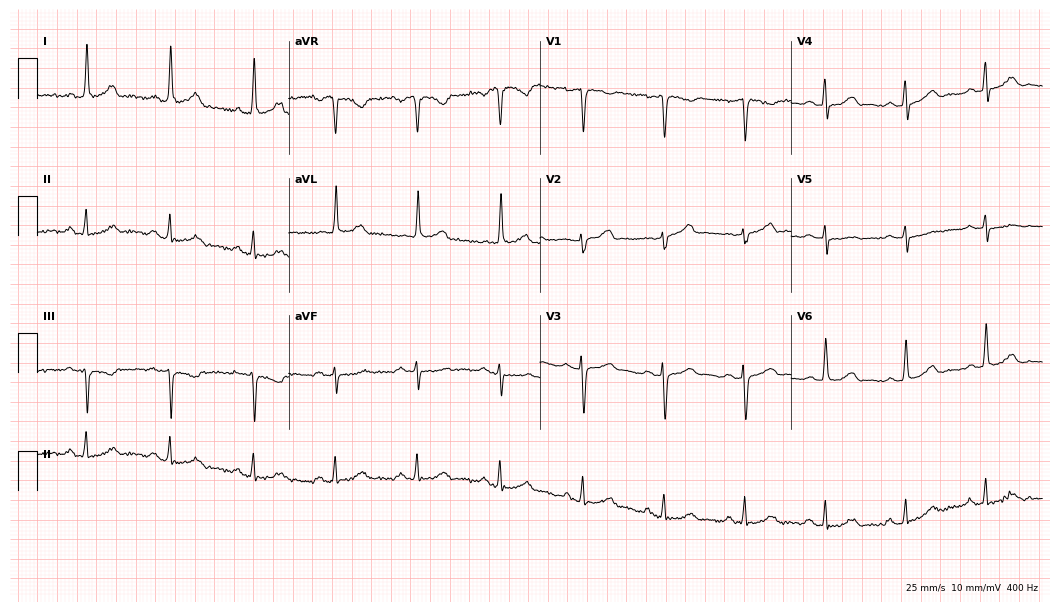
Resting 12-lead electrocardiogram. Patient: a 60-year-old woman. Read as a normal ECG.